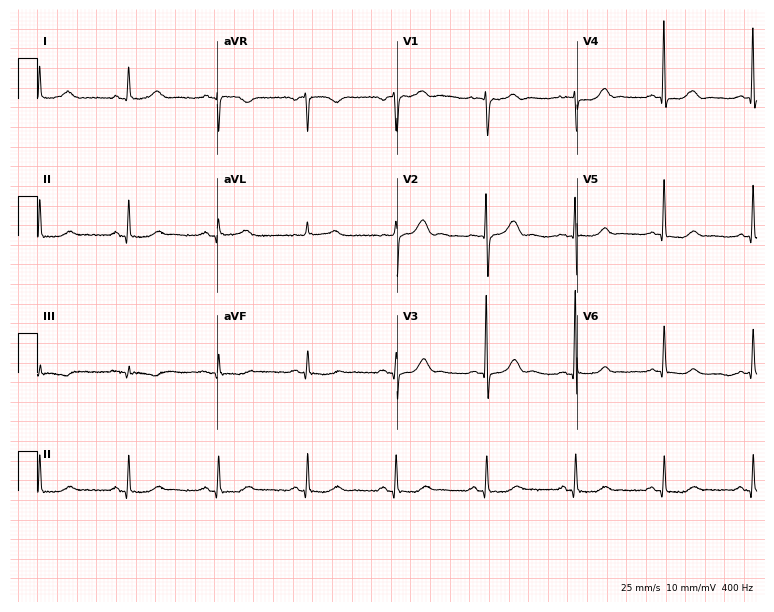
Resting 12-lead electrocardiogram (7.3-second recording at 400 Hz). Patient: a female, 70 years old. None of these six findings is recorded: first-degree AV block, right bundle branch block, left bundle branch block, sinus bradycardia, atrial fibrillation, sinus tachycardia.